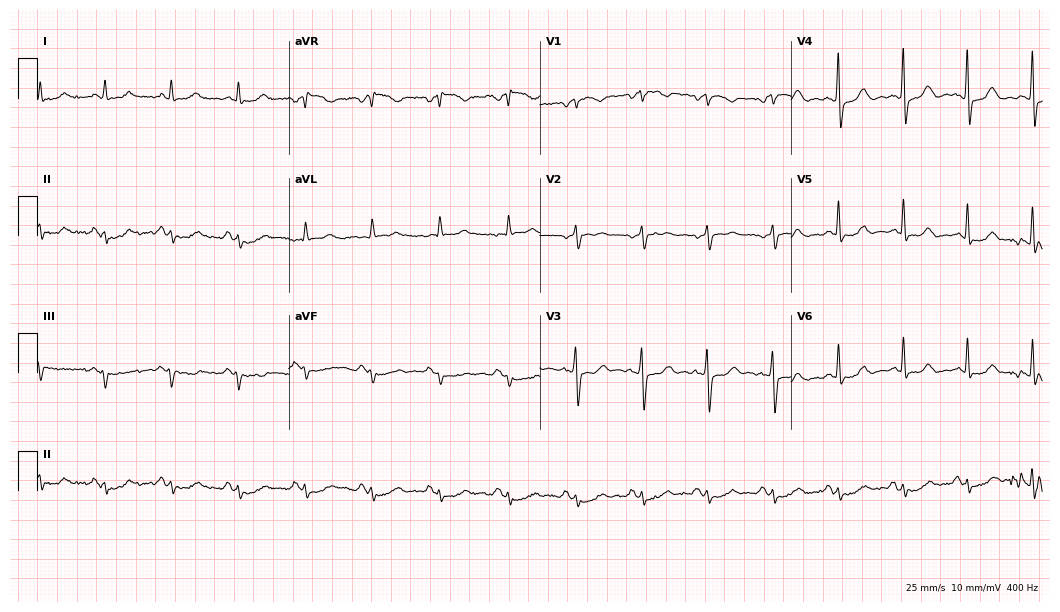
Electrocardiogram (10.2-second recording at 400 Hz), an 82-year-old male patient. Overall reading on record: normal ECG.